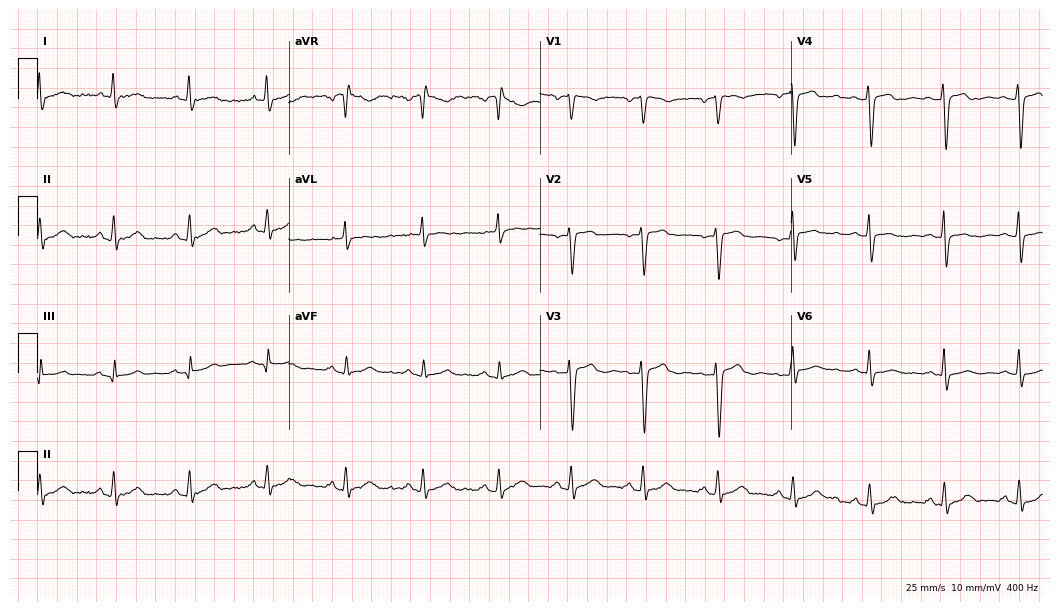
Standard 12-lead ECG recorded from a woman, 36 years old. Read as a normal ECG.